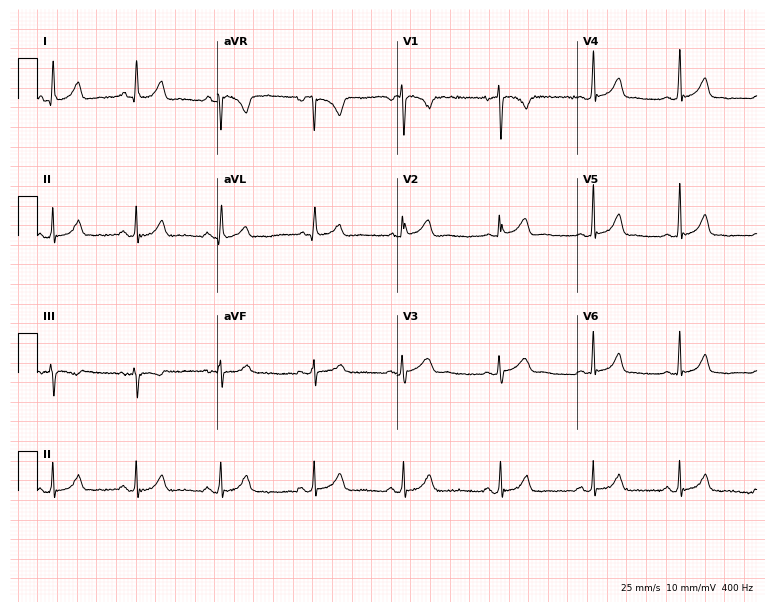
12-lead ECG (7.3-second recording at 400 Hz) from an 18-year-old female patient. Labelled as a normal ECG.